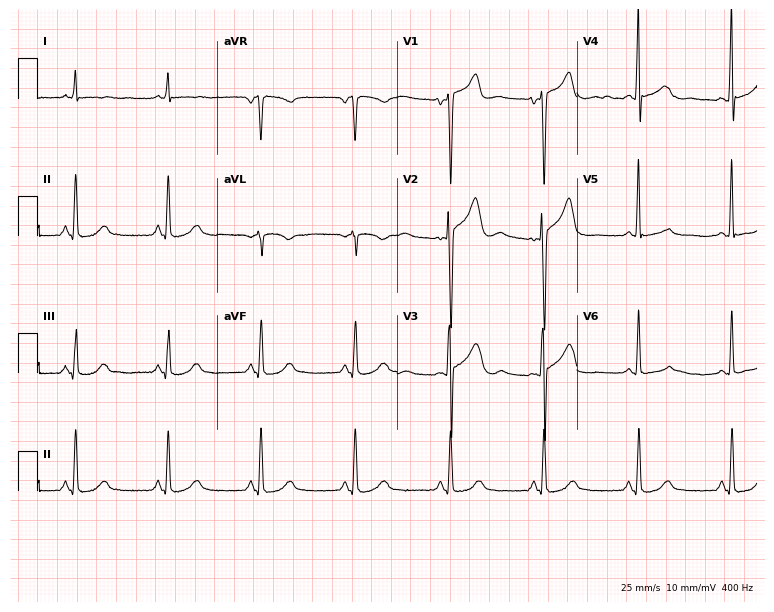
ECG — a 63-year-old man. Screened for six findings — first-degree AV block, right bundle branch block, left bundle branch block, sinus bradycardia, atrial fibrillation, sinus tachycardia — none is recorded. Findings outside these six are not listed.